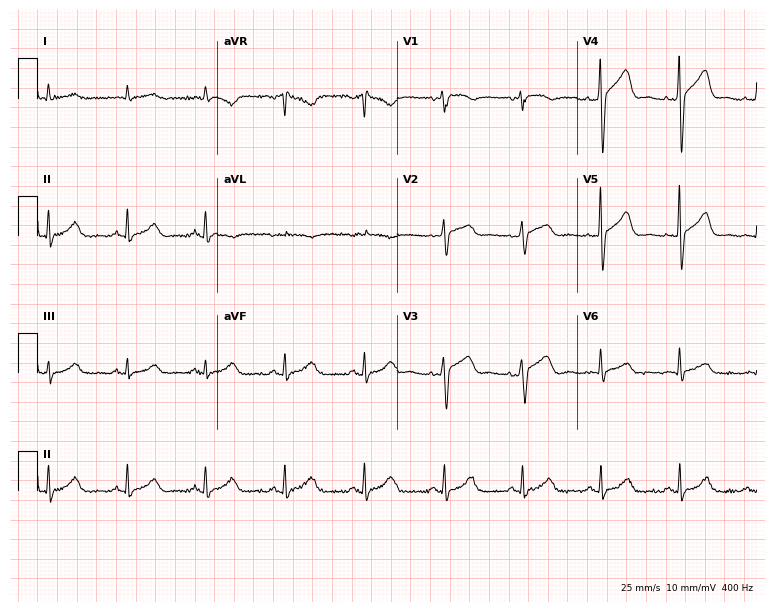
12-lead ECG (7.3-second recording at 400 Hz) from a 71-year-old male. Screened for six findings — first-degree AV block, right bundle branch block, left bundle branch block, sinus bradycardia, atrial fibrillation, sinus tachycardia — none is recorded. Only these six findings were labelled.